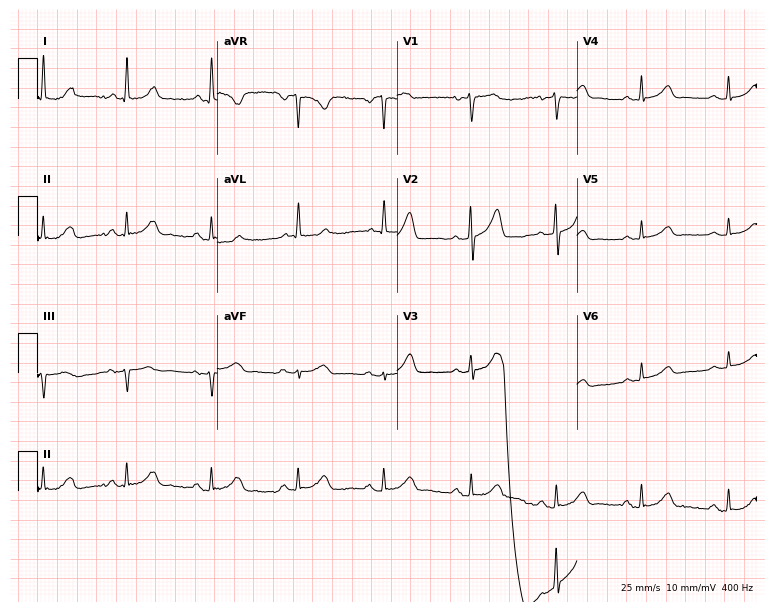
ECG (7.3-second recording at 400 Hz) — a woman, 73 years old. Screened for six findings — first-degree AV block, right bundle branch block, left bundle branch block, sinus bradycardia, atrial fibrillation, sinus tachycardia — none is recorded.